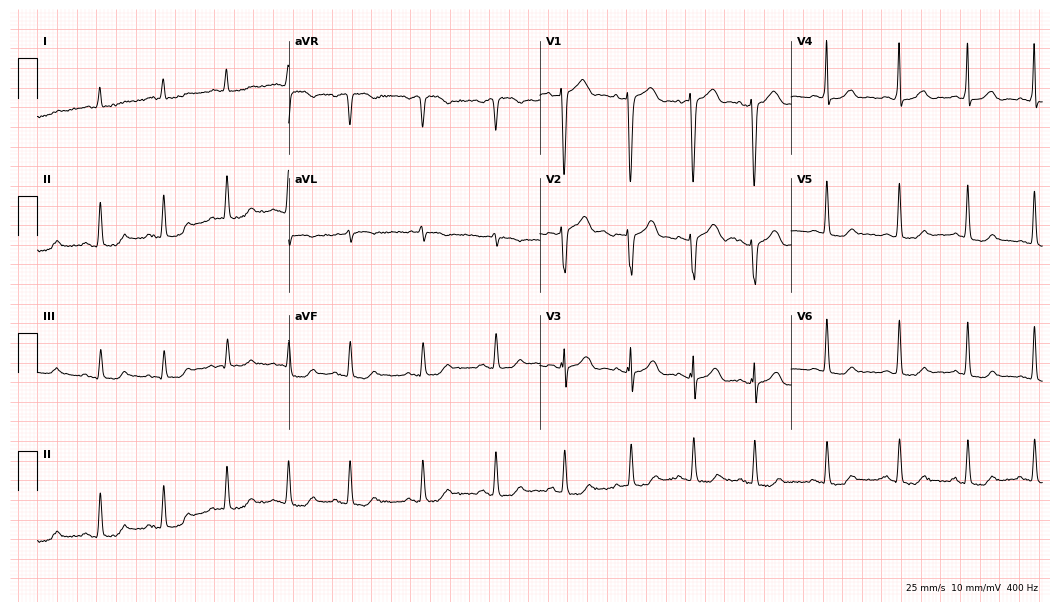
ECG (10.2-second recording at 400 Hz) — an 84-year-old female patient. Screened for six findings — first-degree AV block, right bundle branch block, left bundle branch block, sinus bradycardia, atrial fibrillation, sinus tachycardia — none is recorded. Findings outside these six are not listed.